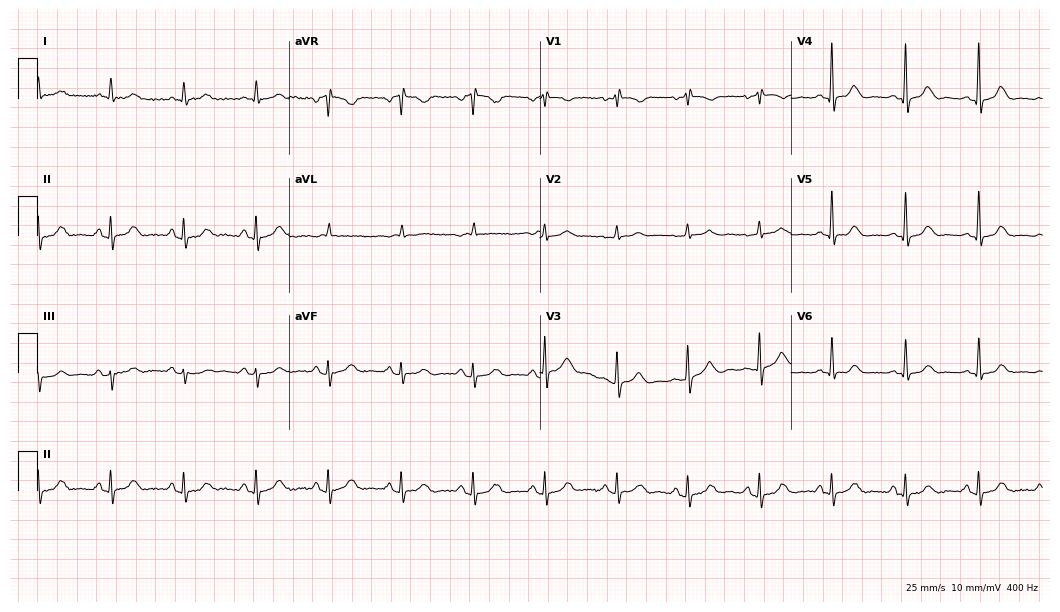
12-lead ECG from a woman, 71 years old. Labelled as a normal ECG.